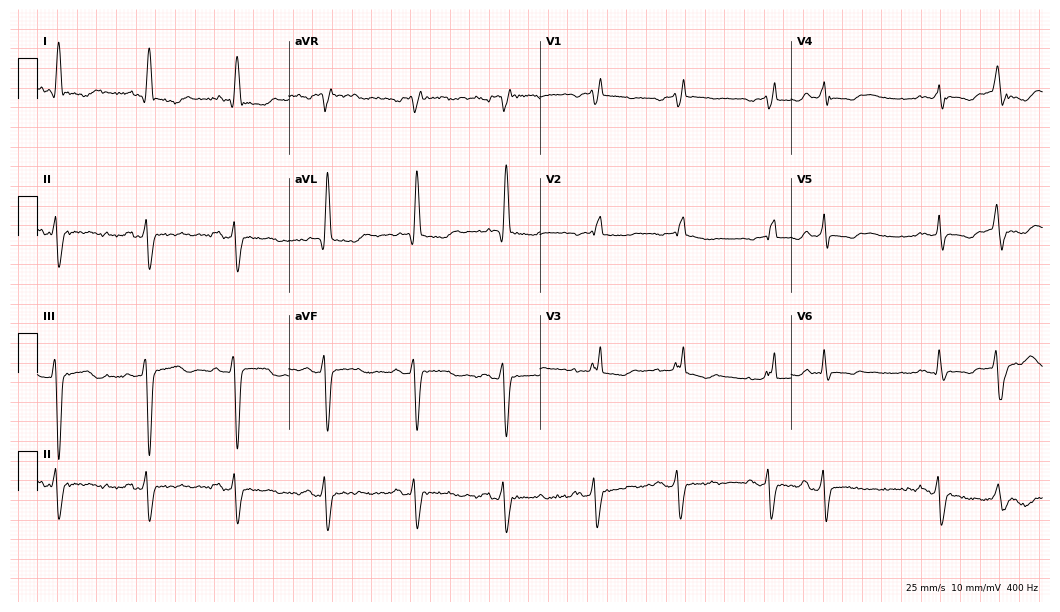
Electrocardiogram, a woman, 70 years old. Interpretation includes right bundle branch block.